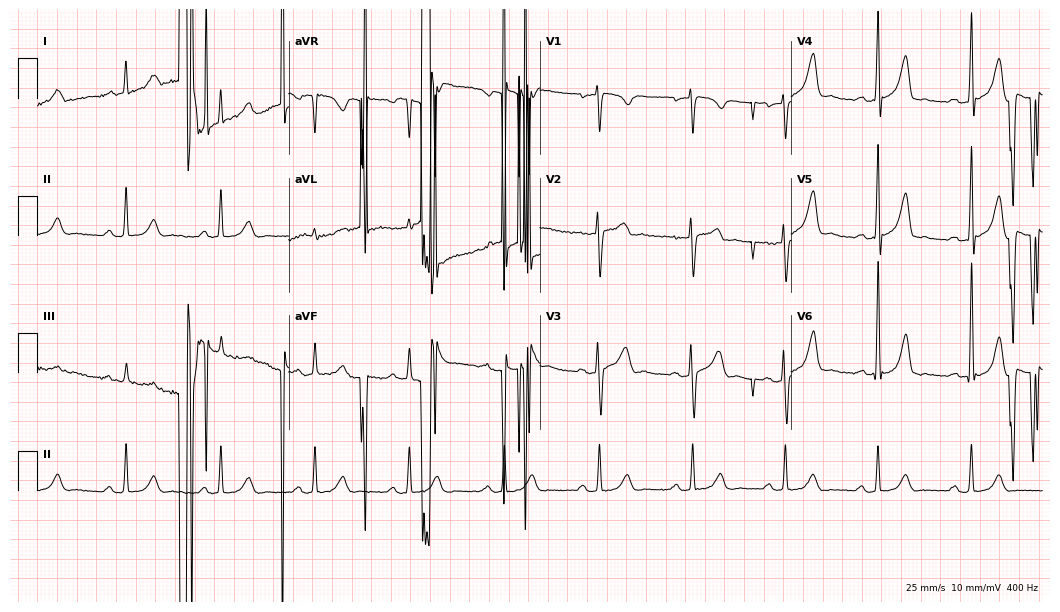
12-lead ECG from a 62-year-old man. Labelled as a normal ECG.